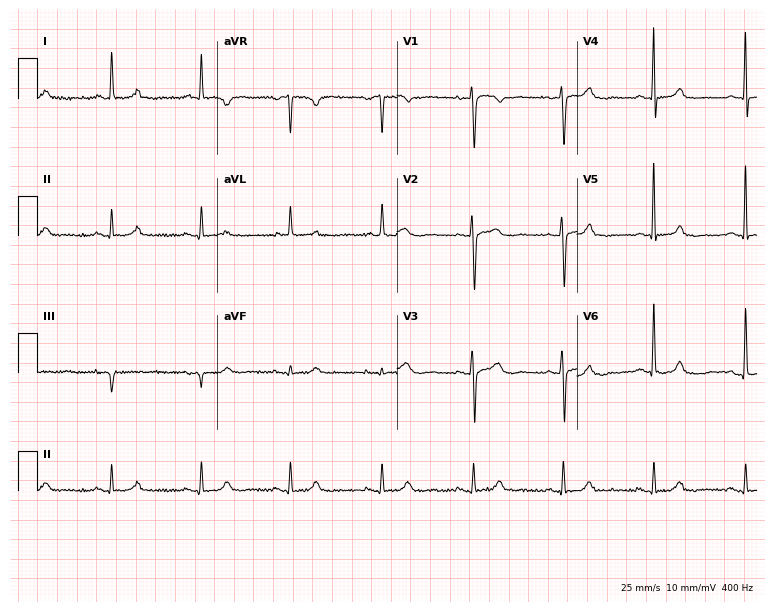
Electrocardiogram, a 73-year-old female patient. Of the six screened findings (first-degree AV block, right bundle branch block, left bundle branch block, sinus bradycardia, atrial fibrillation, sinus tachycardia), none is recorded. Findings outside these six are not listed.